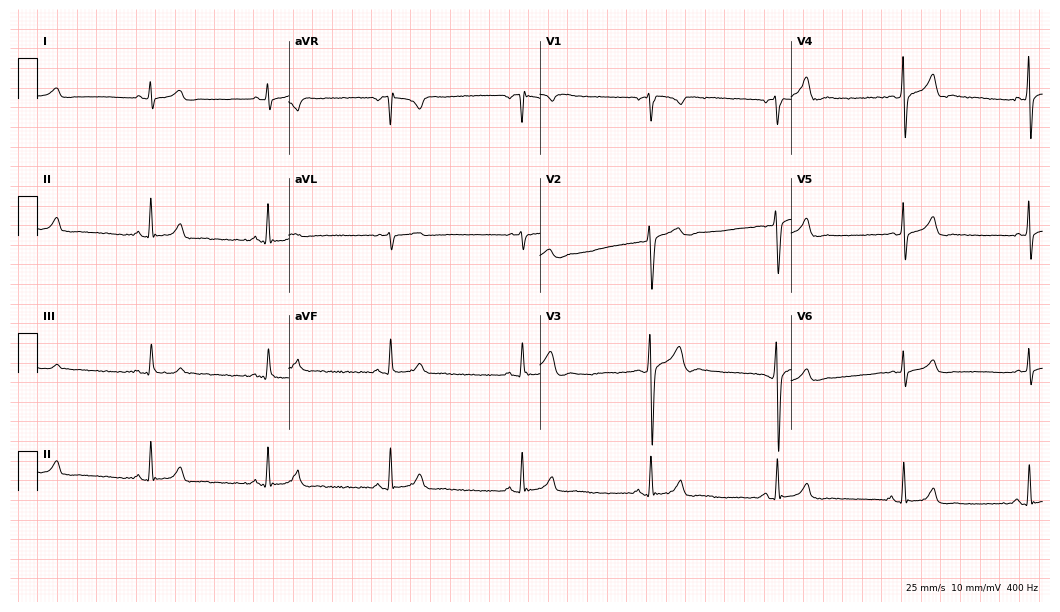
ECG (10.2-second recording at 400 Hz) — a female patient, 26 years old. Screened for six findings — first-degree AV block, right bundle branch block, left bundle branch block, sinus bradycardia, atrial fibrillation, sinus tachycardia — none is recorded. Only these six findings were labelled.